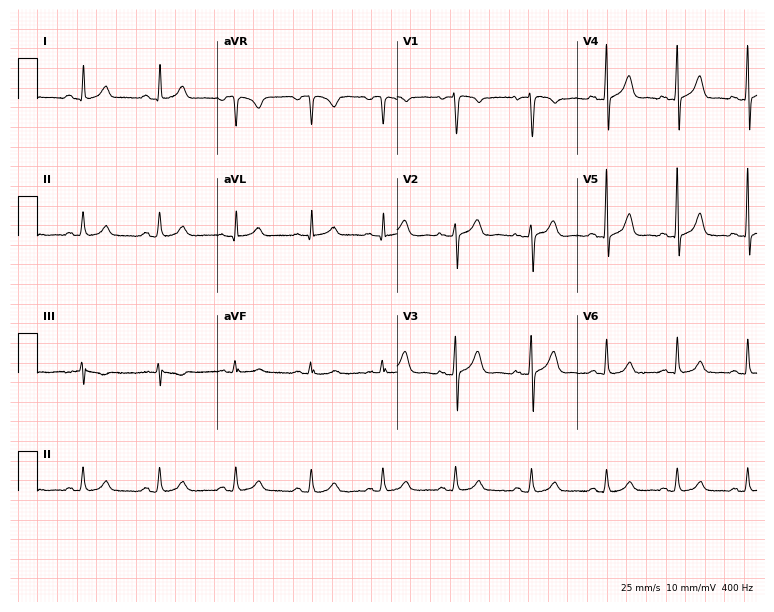
12-lead ECG (7.3-second recording at 400 Hz) from a 46-year-old woman. Labelled as a normal ECG.